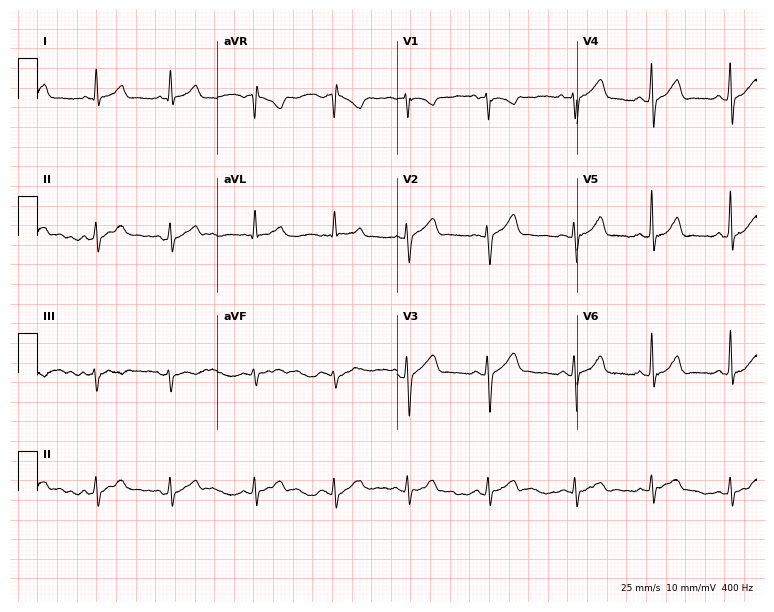
12-lead ECG from a female patient, 18 years old. Recorded interpretation: within normal limits.